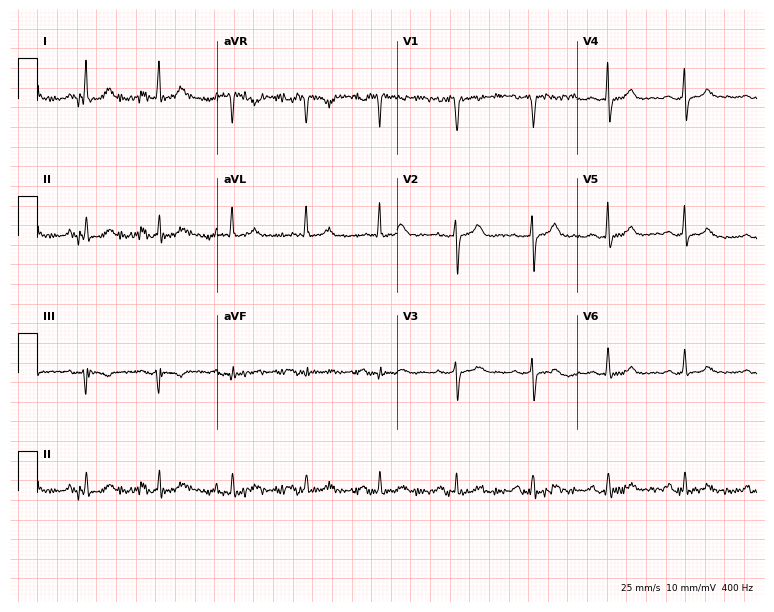
Resting 12-lead electrocardiogram (7.3-second recording at 400 Hz). Patient: a 47-year-old female. None of these six findings is recorded: first-degree AV block, right bundle branch block, left bundle branch block, sinus bradycardia, atrial fibrillation, sinus tachycardia.